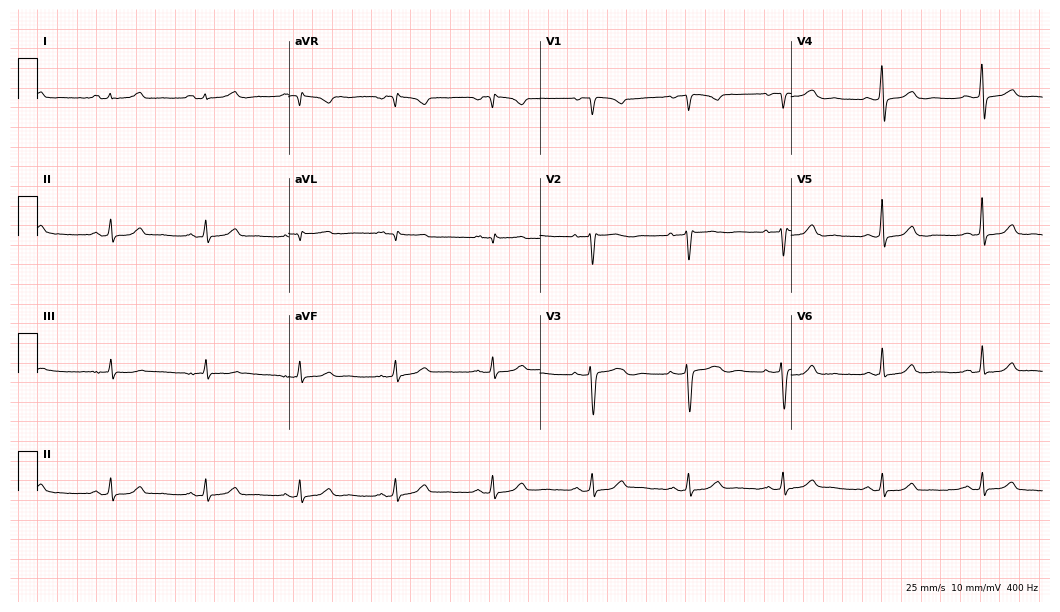
Electrocardiogram (10.2-second recording at 400 Hz), a female patient, 54 years old. Overall reading on record: normal ECG.